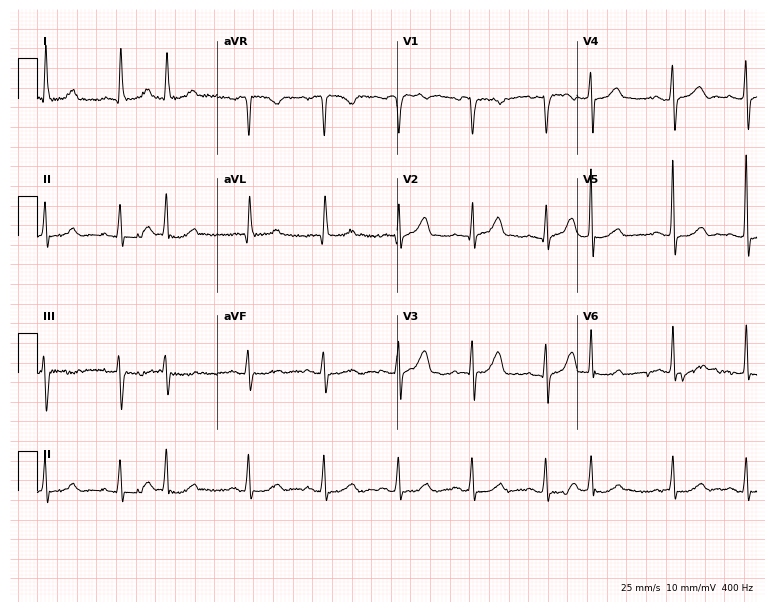
ECG — a 68-year-old female. Screened for six findings — first-degree AV block, right bundle branch block, left bundle branch block, sinus bradycardia, atrial fibrillation, sinus tachycardia — none is recorded.